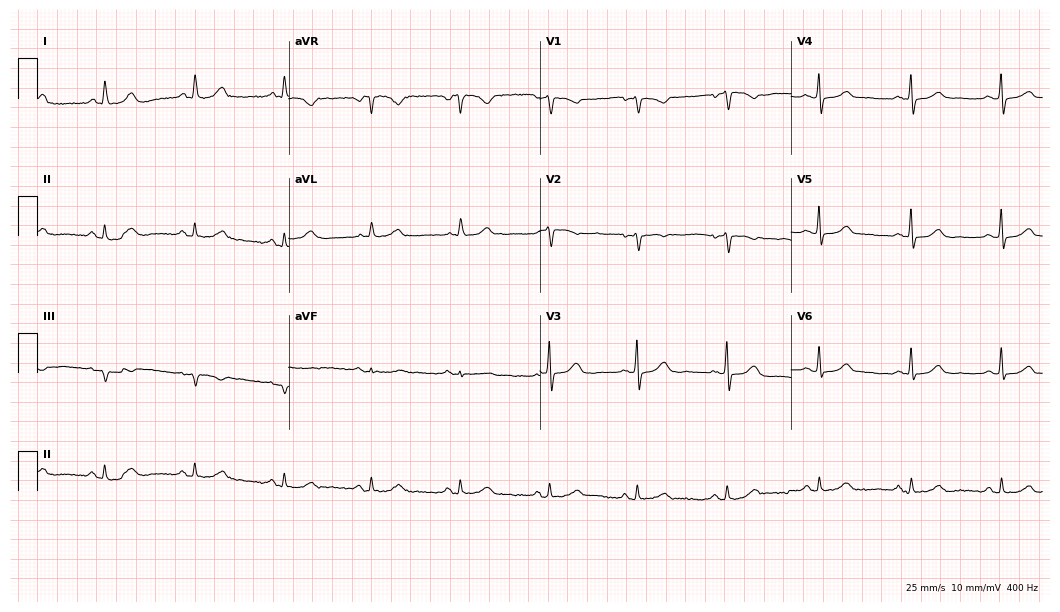
Standard 12-lead ECG recorded from a 56-year-old female (10.2-second recording at 400 Hz). Read as a normal ECG.